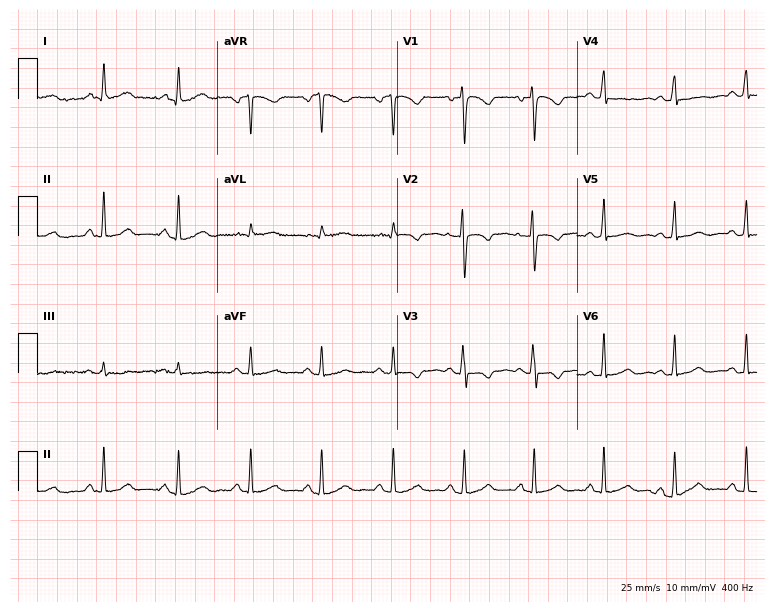
Standard 12-lead ECG recorded from a woman, 35 years old (7.3-second recording at 400 Hz). None of these six findings is recorded: first-degree AV block, right bundle branch block, left bundle branch block, sinus bradycardia, atrial fibrillation, sinus tachycardia.